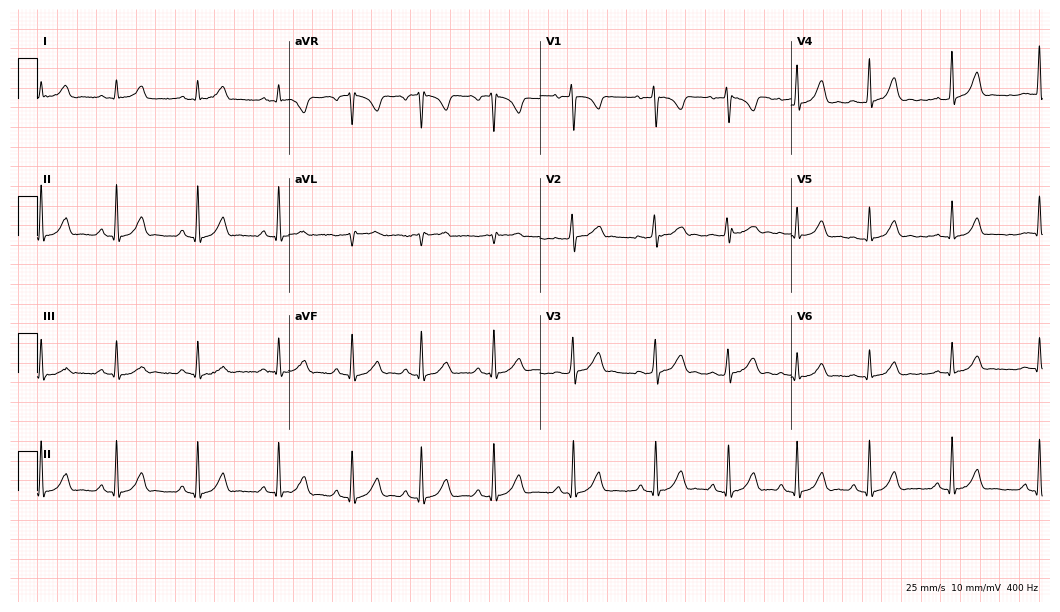
Resting 12-lead electrocardiogram (10.2-second recording at 400 Hz). Patient: a 22-year-old female. Read as a normal ECG.